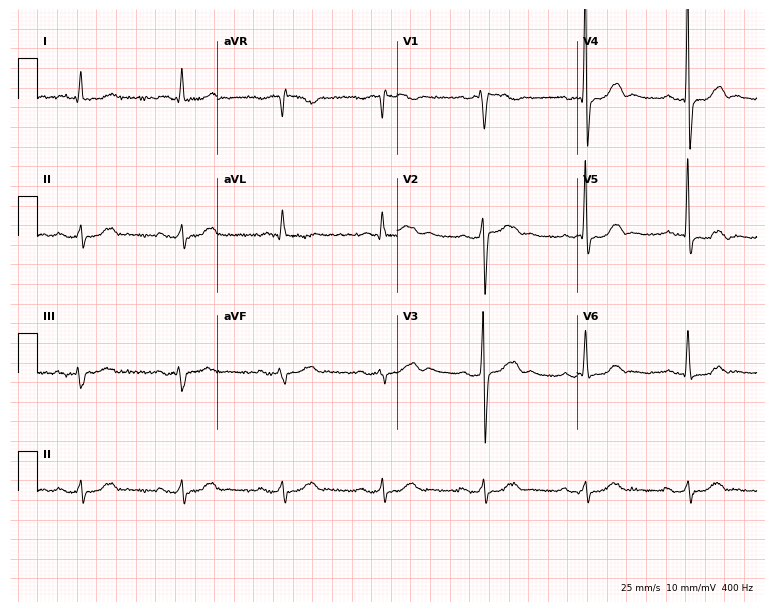
12-lead ECG from a man, 70 years old. Findings include first-degree AV block.